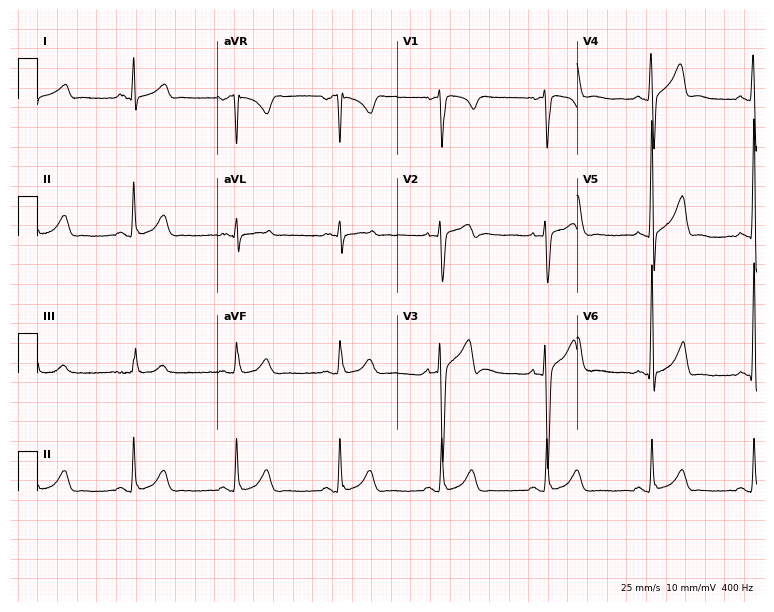
12-lead ECG from a 36-year-old male. No first-degree AV block, right bundle branch block (RBBB), left bundle branch block (LBBB), sinus bradycardia, atrial fibrillation (AF) or sinus tachycardia recorded for this tracing. Only these six findings were labelled.